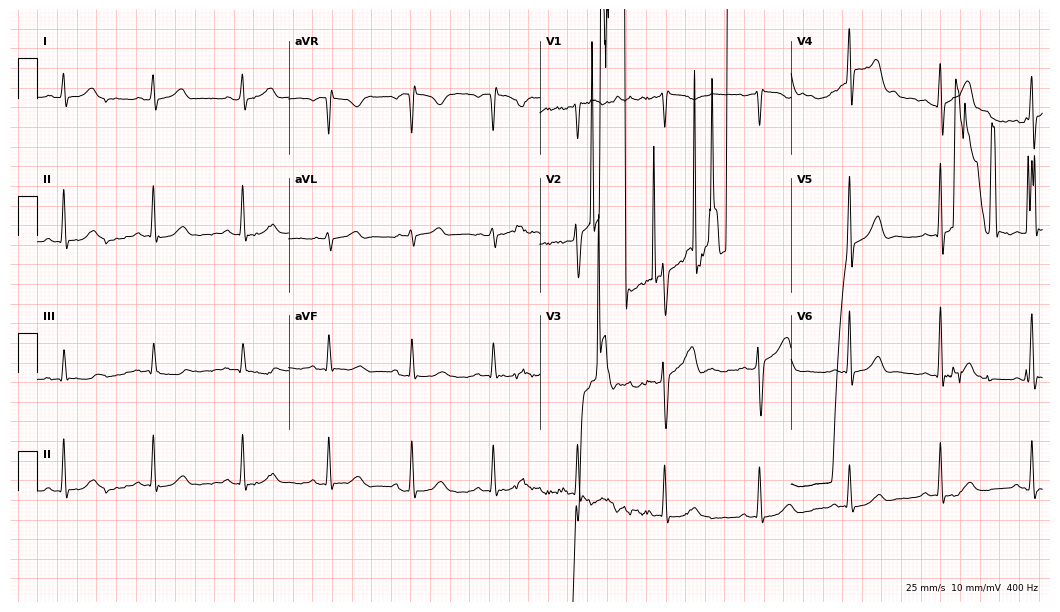
12-lead ECG (10.2-second recording at 400 Hz) from a male, 39 years old. Screened for six findings — first-degree AV block, right bundle branch block (RBBB), left bundle branch block (LBBB), sinus bradycardia, atrial fibrillation (AF), sinus tachycardia — none is recorded. Other findings, if any, are not listed.